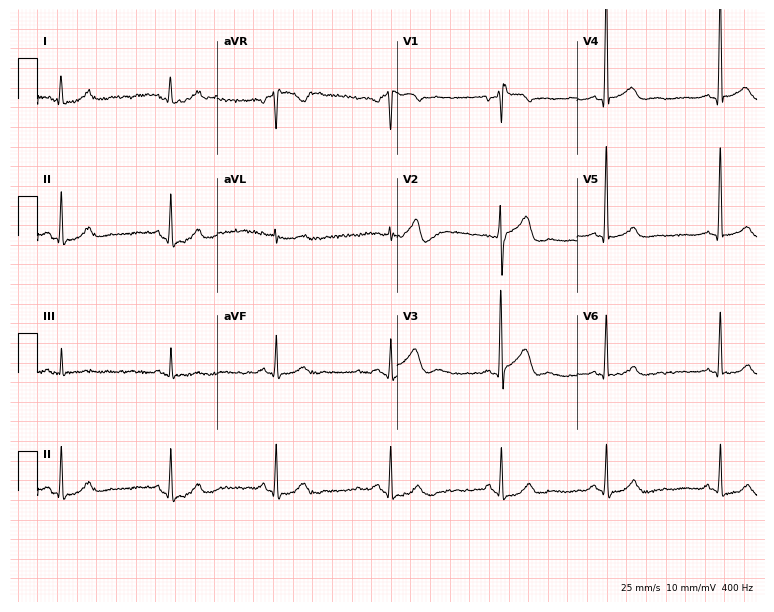
Electrocardiogram, a man, 77 years old. Overall reading on record: normal ECG.